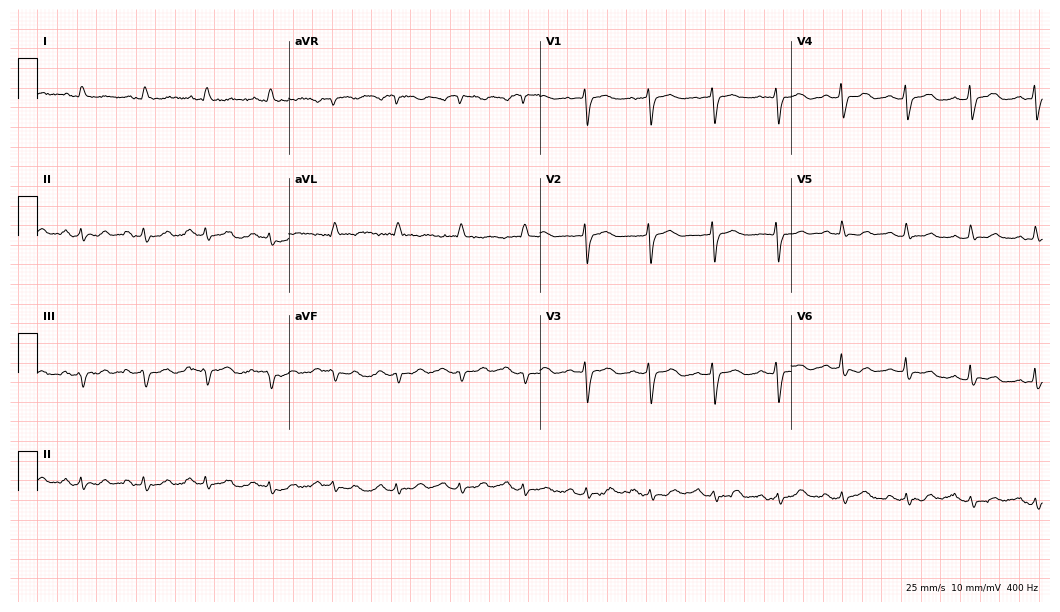
12-lead ECG from a female, 79 years old. No first-degree AV block, right bundle branch block (RBBB), left bundle branch block (LBBB), sinus bradycardia, atrial fibrillation (AF) or sinus tachycardia recorded for this tracing.